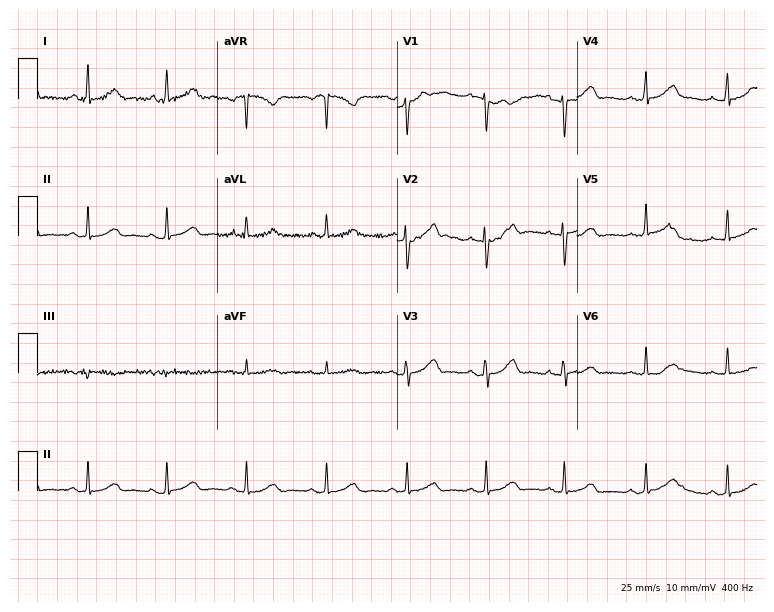
ECG (7.3-second recording at 400 Hz) — a 45-year-old female patient. Labelled as a normal ECG.